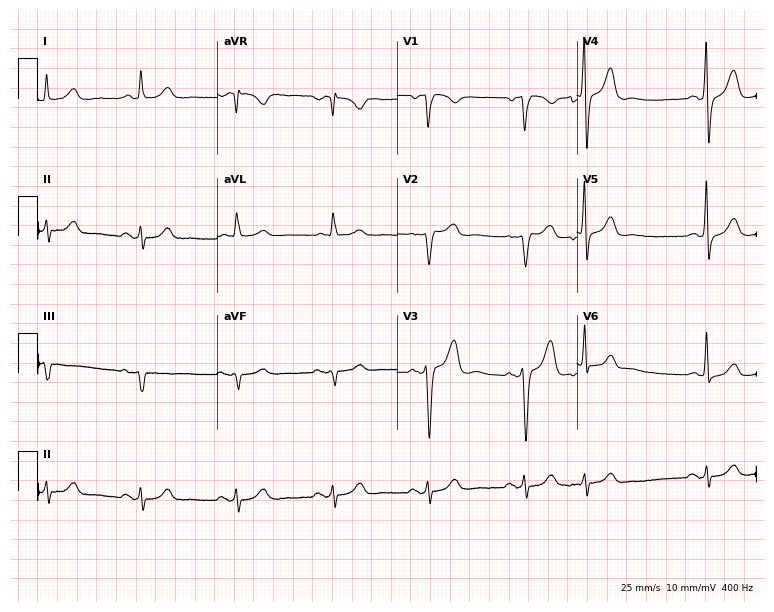
Electrocardiogram, a 61-year-old male. Of the six screened findings (first-degree AV block, right bundle branch block, left bundle branch block, sinus bradycardia, atrial fibrillation, sinus tachycardia), none is recorded. Only these six findings were labelled.